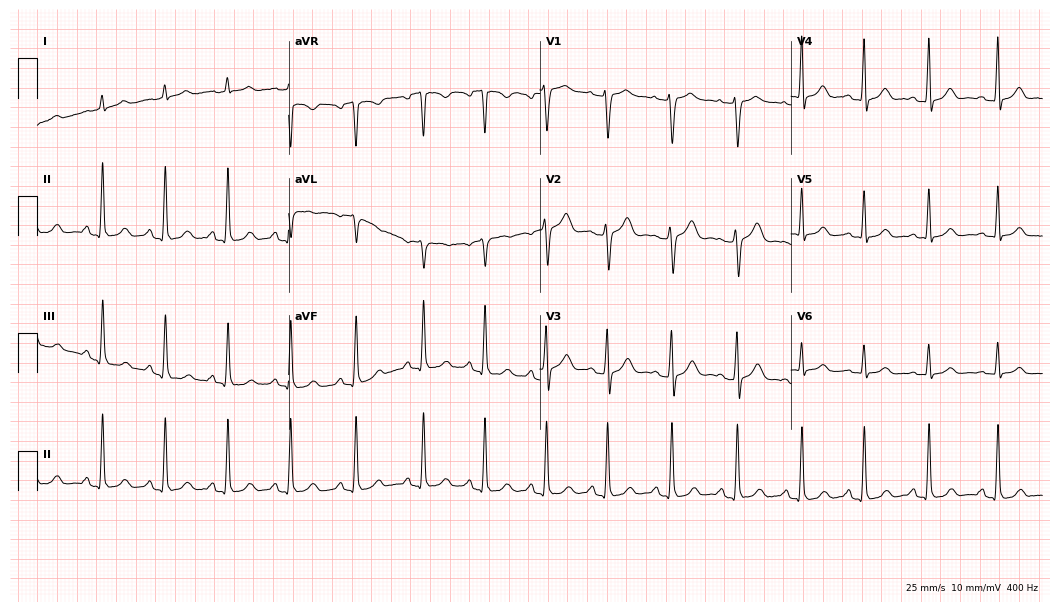
Resting 12-lead electrocardiogram. Patient: a woman, 21 years old. Read as a normal ECG.